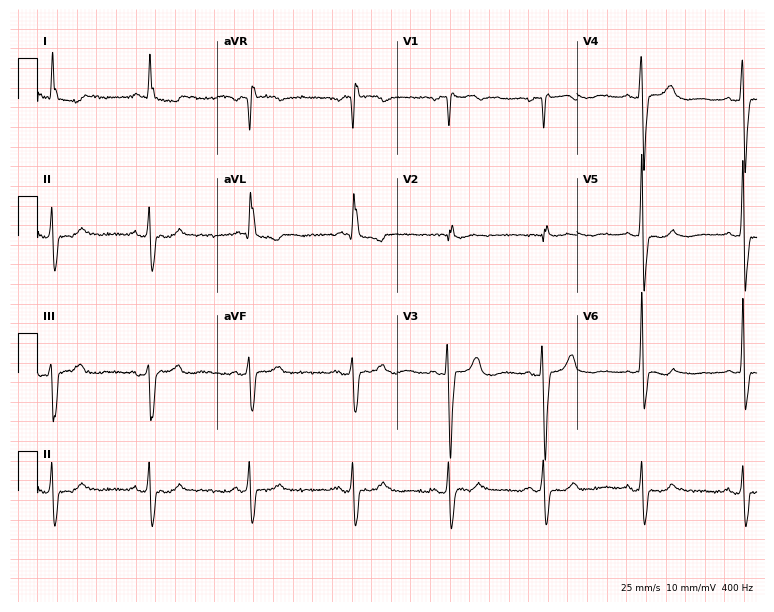
Electrocardiogram (7.3-second recording at 400 Hz), a woman, 74 years old. Of the six screened findings (first-degree AV block, right bundle branch block, left bundle branch block, sinus bradycardia, atrial fibrillation, sinus tachycardia), none is recorded.